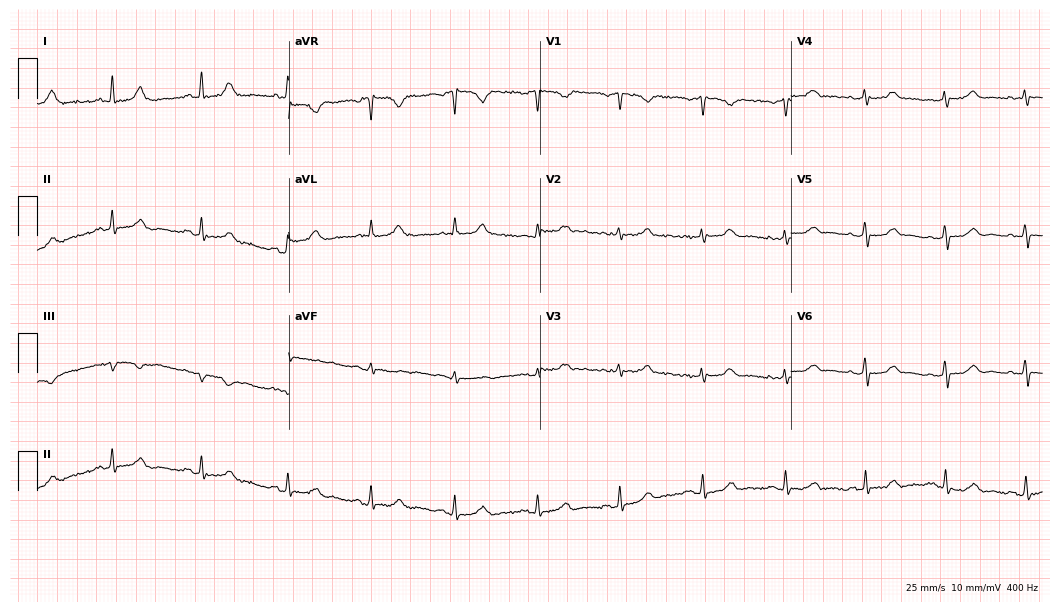
Electrocardiogram, a woman, 61 years old. Of the six screened findings (first-degree AV block, right bundle branch block, left bundle branch block, sinus bradycardia, atrial fibrillation, sinus tachycardia), none is recorded. Other findings, if any, are not listed.